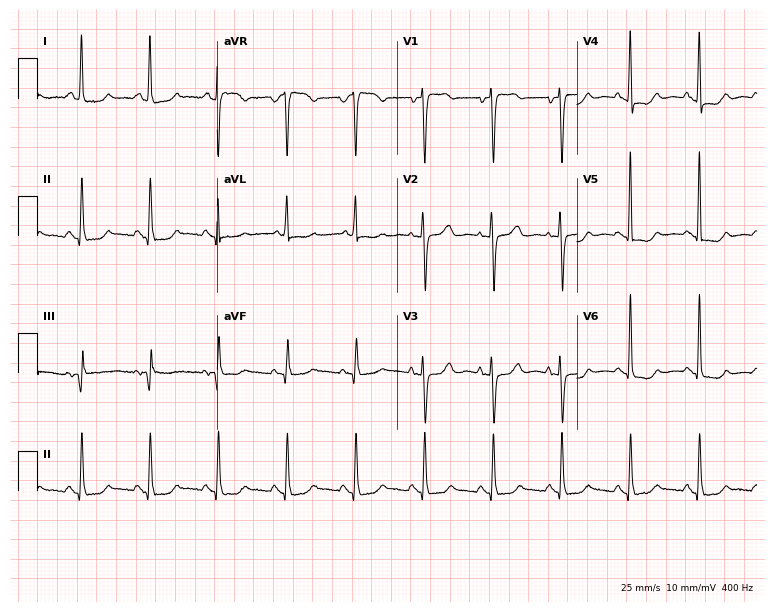
12-lead ECG (7.3-second recording at 400 Hz) from a 68-year-old woman. Screened for six findings — first-degree AV block, right bundle branch block, left bundle branch block, sinus bradycardia, atrial fibrillation, sinus tachycardia — none is recorded. Findings outside these six are not listed.